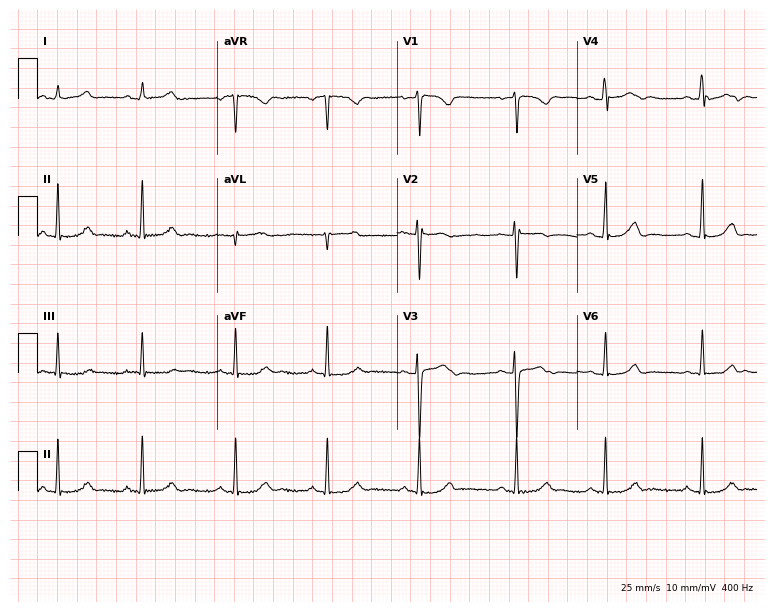
ECG (7.3-second recording at 400 Hz) — a woman, 23 years old. Labelled as a normal ECG.